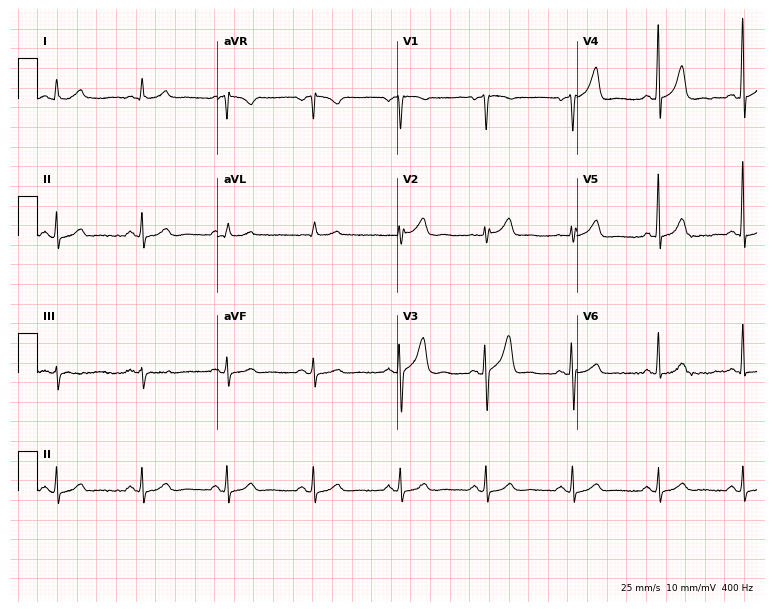
ECG (7.3-second recording at 400 Hz) — a 61-year-old male patient. Labelled as a normal ECG.